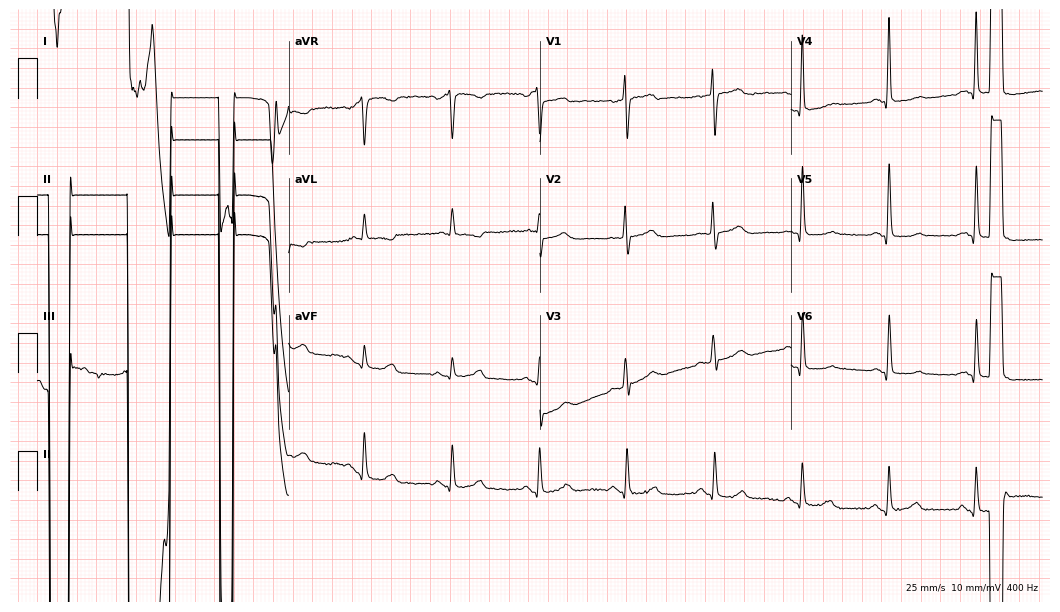
Resting 12-lead electrocardiogram (10.2-second recording at 400 Hz). Patient: a woman, 59 years old. None of these six findings is recorded: first-degree AV block, right bundle branch block (RBBB), left bundle branch block (LBBB), sinus bradycardia, atrial fibrillation (AF), sinus tachycardia.